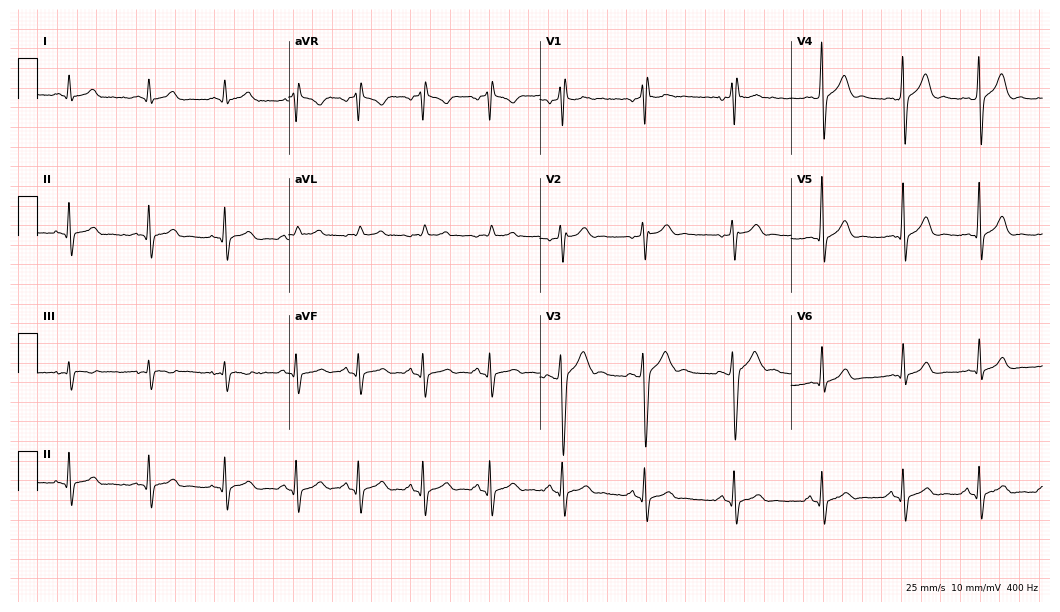
Standard 12-lead ECG recorded from a 28-year-old male (10.2-second recording at 400 Hz). None of these six findings is recorded: first-degree AV block, right bundle branch block, left bundle branch block, sinus bradycardia, atrial fibrillation, sinus tachycardia.